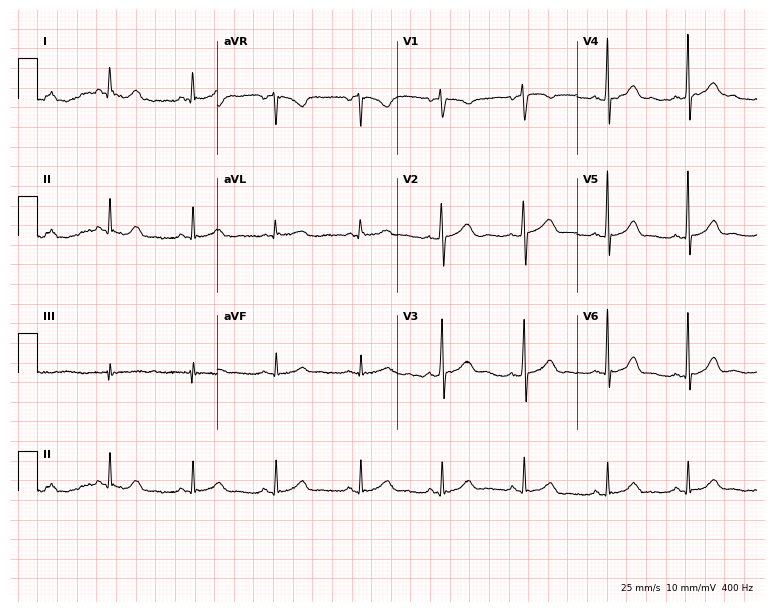
12-lead ECG from a female patient, 56 years old (7.3-second recording at 400 Hz). Recorded interpretation: within normal limits.